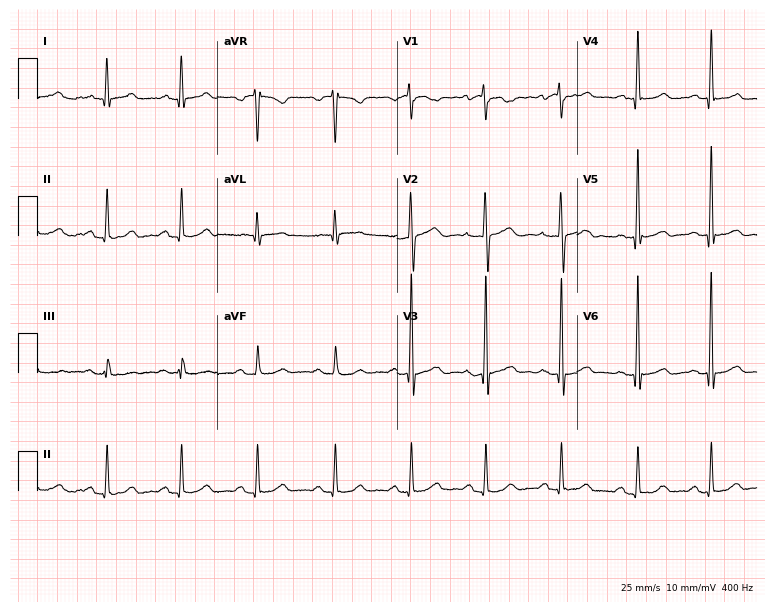
12-lead ECG from a woman, 55 years old. Recorded interpretation: within normal limits.